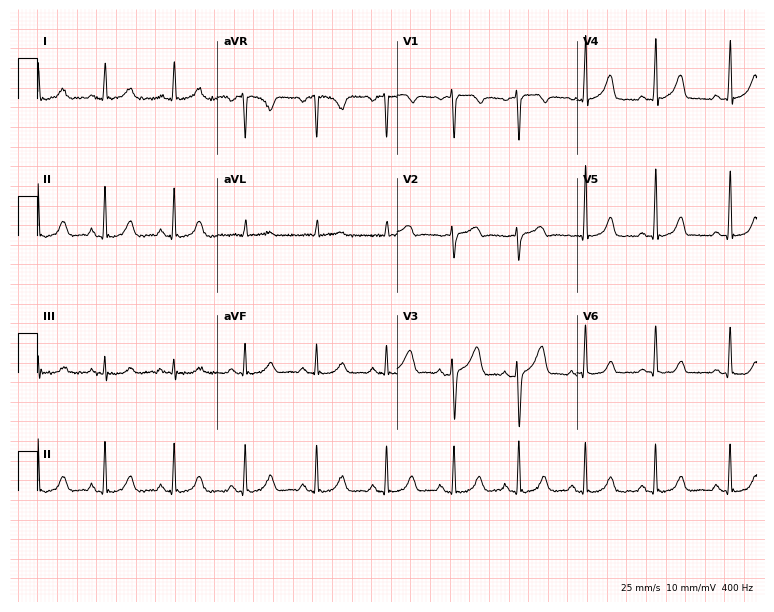
Resting 12-lead electrocardiogram (7.3-second recording at 400 Hz). Patient: a female, 39 years old. None of these six findings is recorded: first-degree AV block, right bundle branch block, left bundle branch block, sinus bradycardia, atrial fibrillation, sinus tachycardia.